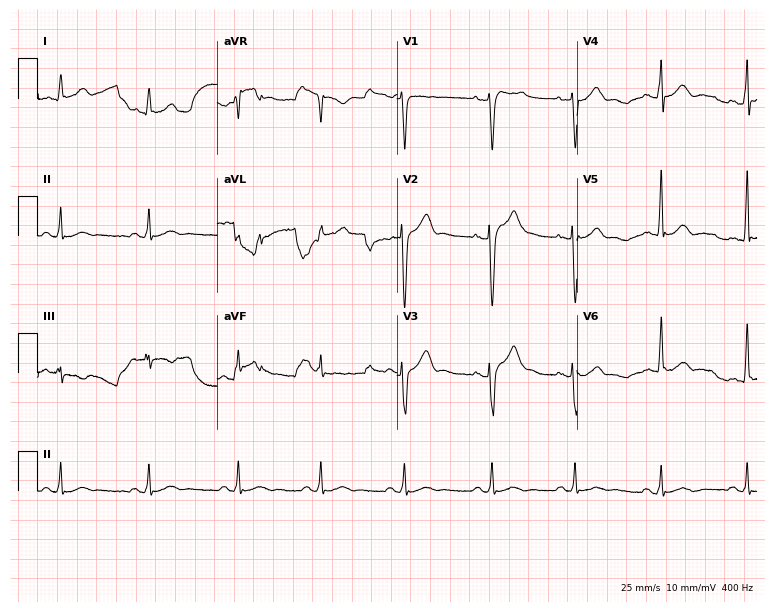
Standard 12-lead ECG recorded from a 49-year-old male patient. None of these six findings is recorded: first-degree AV block, right bundle branch block, left bundle branch block, sinus bradycardia, atrial fibrillation, sinus tachycardia. Findings outside these six are not listed.